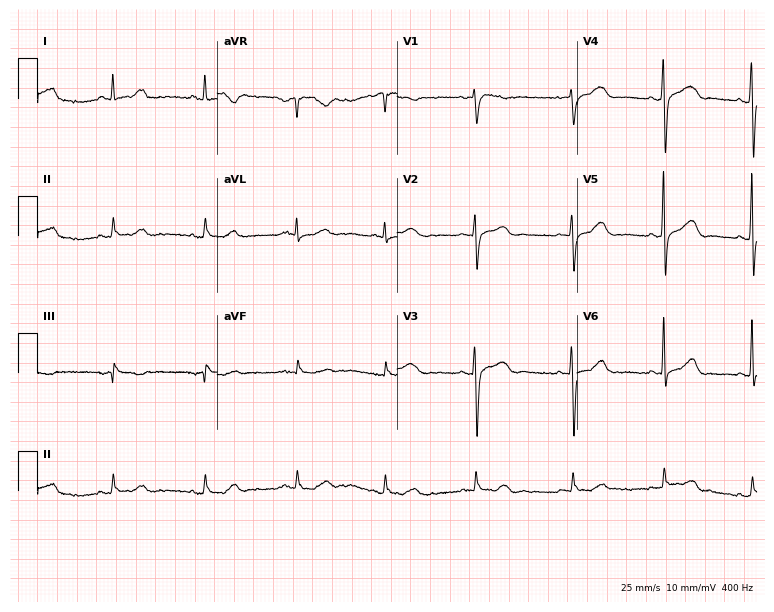
Resting 12-lead electrocardiogram (7.3-second recording at 400 Hz). Patient: a female, 68 years old. Read as a normal ECG.